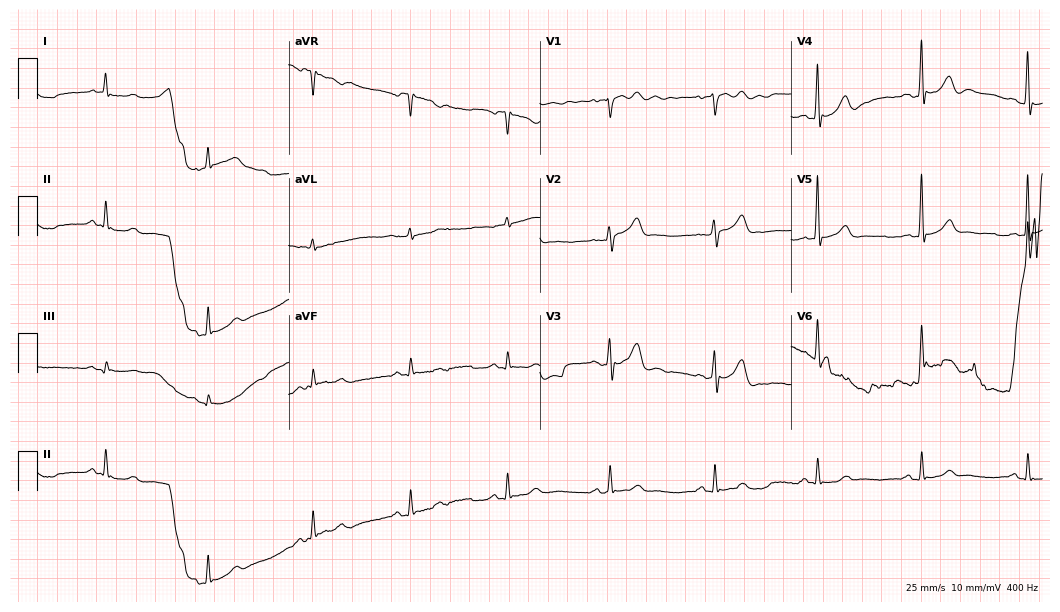
Standard 12-lead ECG recorded from a 76-year-old man (10.2-second recording at 400 Hz). Read as a normal ECG.